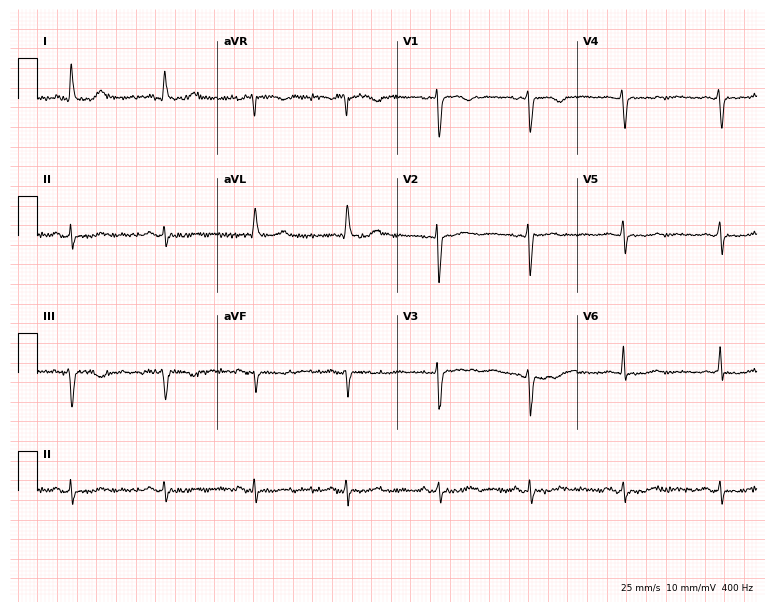
12-lead ECG from a 66-year-old female (7.3-second recording at 400 Hz). No first-degree AV block, right bundle branch block (RBBB), left bundle branch block (LBBB), sinus bradycardia, atrial fibrillation (AF) or sinus tachycardia recorded for this tracing. Findings outside these six are not listed.